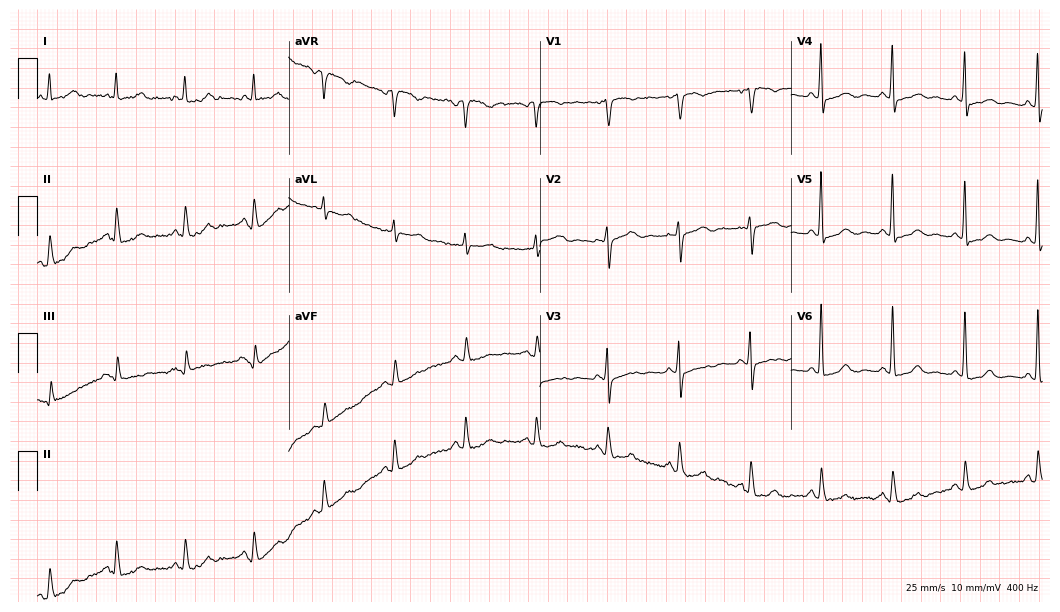
12-lead ECG from a woman, 76 years old. Screened for six findings — first-degree AV block, right bundle branch block (RBBB), left bundle branch block (LBBB), sinus bradycardia, atrial fibrillation (AF), sinus tachycardia — none is recorded. Only these six findings were labelled.